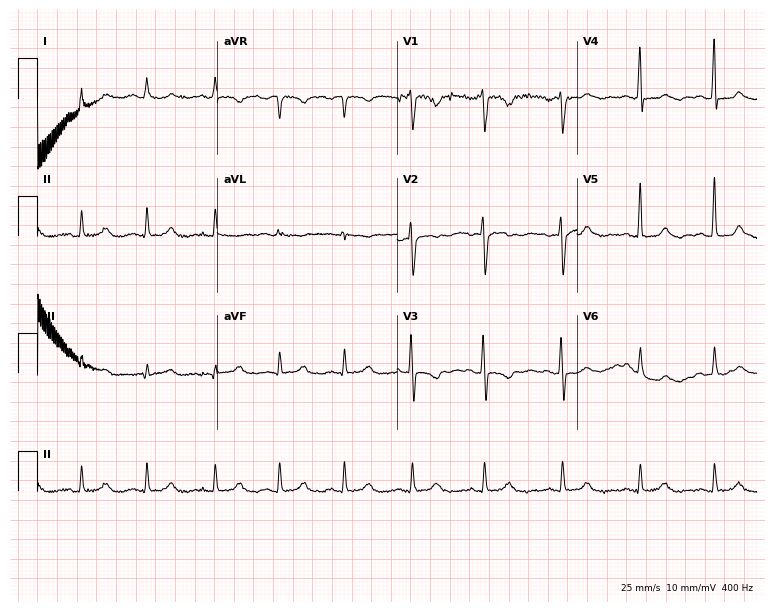
Standard 12-lead ECG recorded from a woman, 25 years old (7.3-second recording at 400 Hz). None of these six findings is recorded: first-degree AV block, right bundle branch block, left bundle branch block, sinus bradycardia, atrial fibrillation, sinus tachycardia. Only these six findings were labelled.